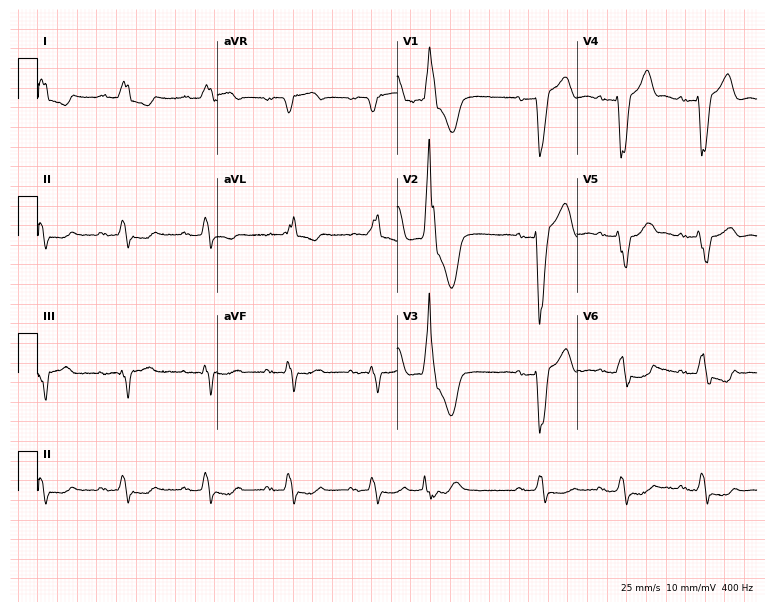
12-lead ECG from a man, 70 years old. Shows left bundle branch block.